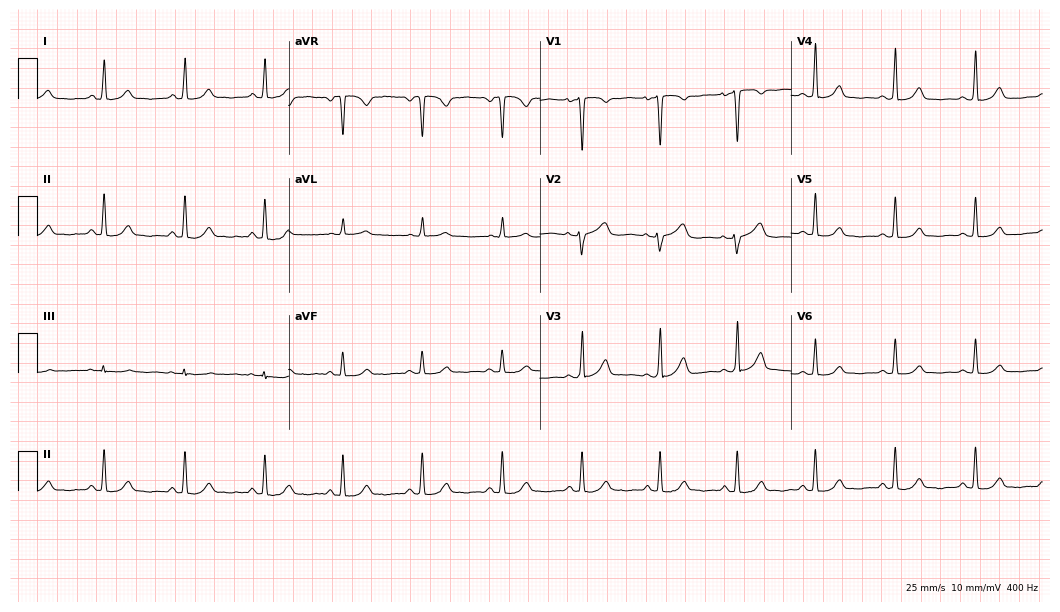
Standard 12-lead ECG recorded from a male patient, 68 years old (10.2-second recording at 400 Hz). None of these six findings is recorded: first-degree AV block, right bundle branch block, left bundle branch block, sinus bradycardia, atrial fibrillation, sinus tachycardia.